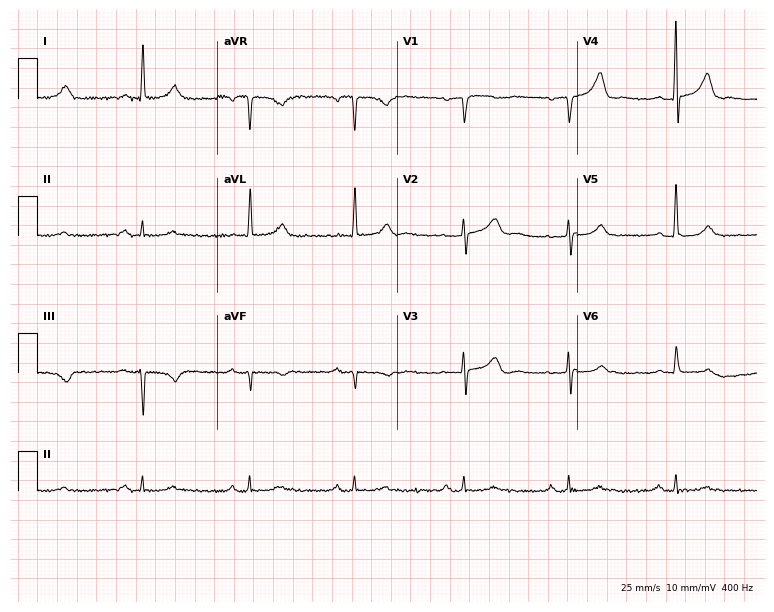
ECG (7.3-second recording at 400 Hz) — a female, 84 years old. Screened for six findings — first-degree AV block, right bundle branch block, left bundle branch block, sinus bradycardia, atrial fibrillation, sinus tachycardia — none is recorded.